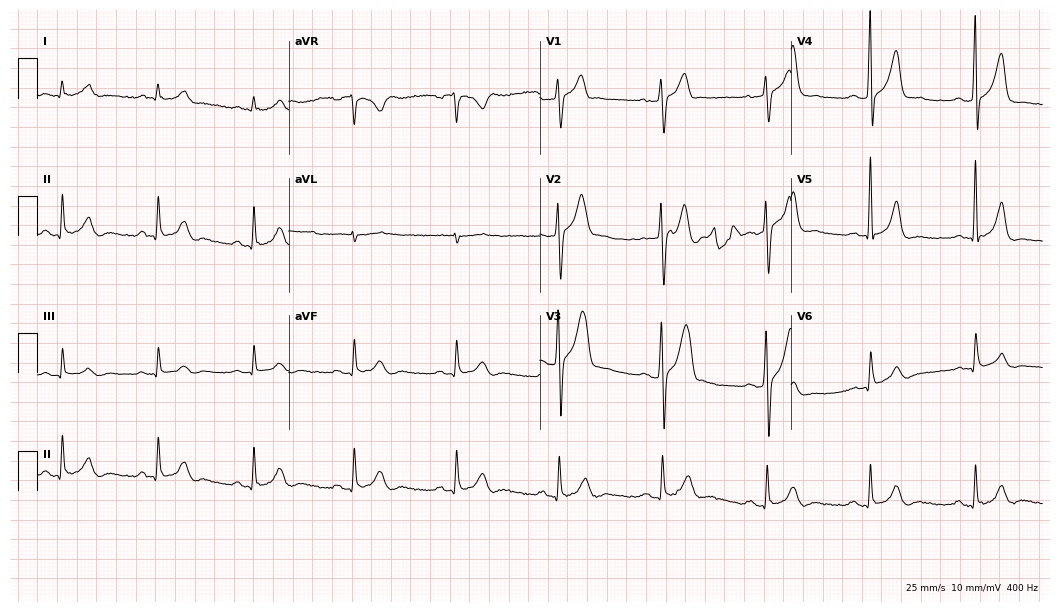
Standard 12-lead ECG recorded from a male, 46 years old. Read as a normal ECG.